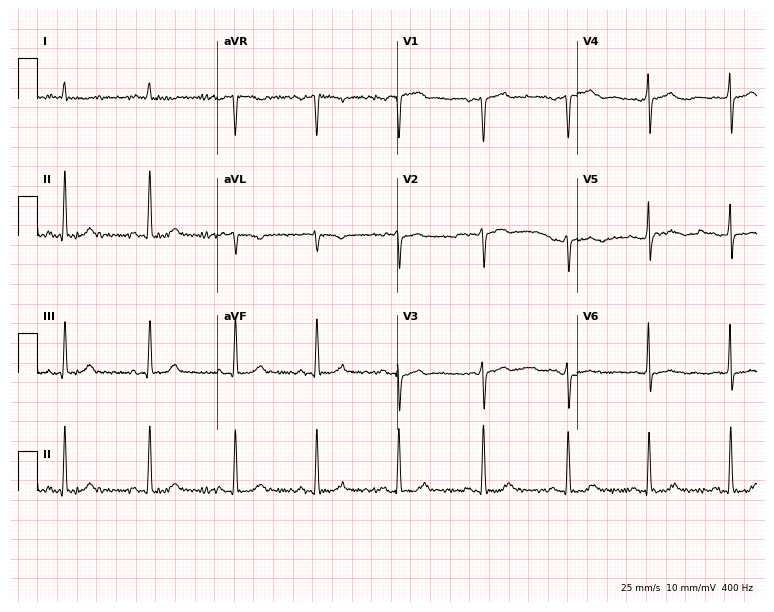
Standard 12-lead ECG recorded from a 69-year-old man. None of these six findings is recorded: first-degree AV block, right bundle branch block, left bundle branch block, sinus bradycardia, atrial fibrillation, sinus tachycardia. Only these six findings were labelled.